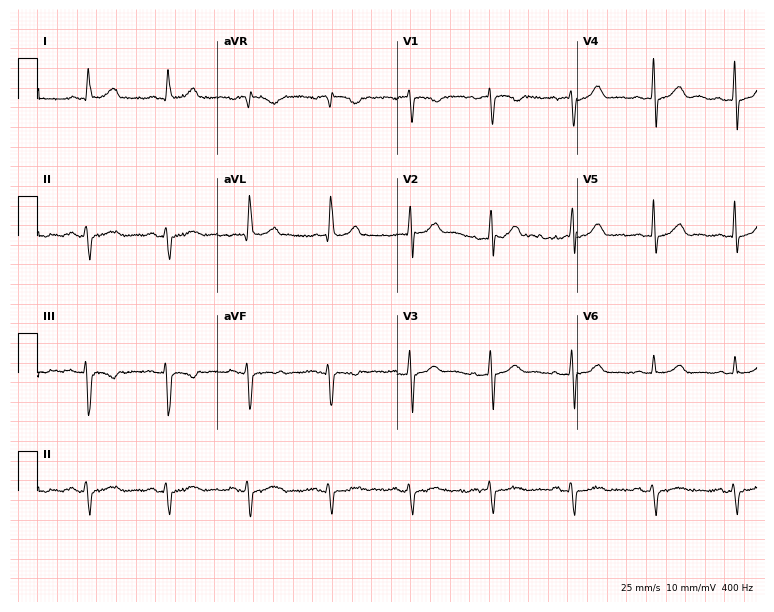
12-lead ECG (7.3-second recording at 400 Hz) from a woman, 76 years old. Screened for six findings — first-degree AV block, right bundle branch block, left bundle branch block, sinus bradycardia, atrial fibrillation, sinus tachycardia — none is recorded.